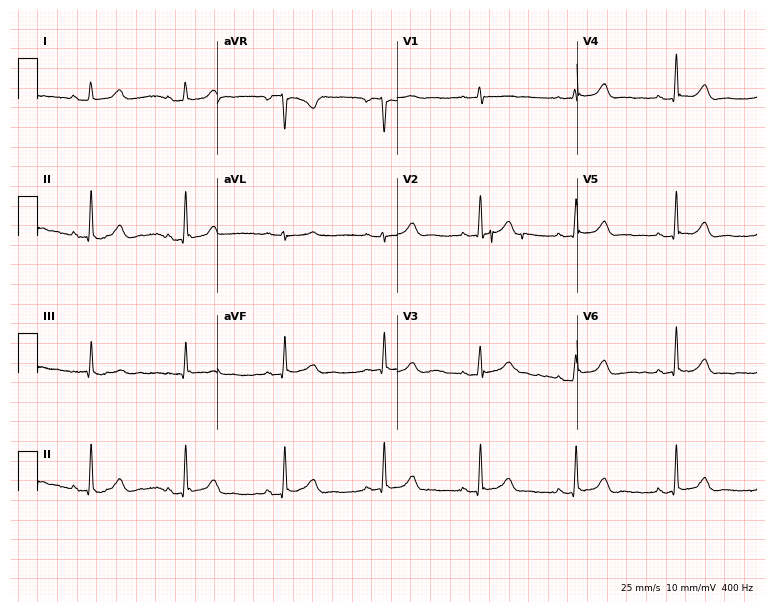
Standard 12-lead ECG recorded from a 44-year-old female. Read as a normal ECG.